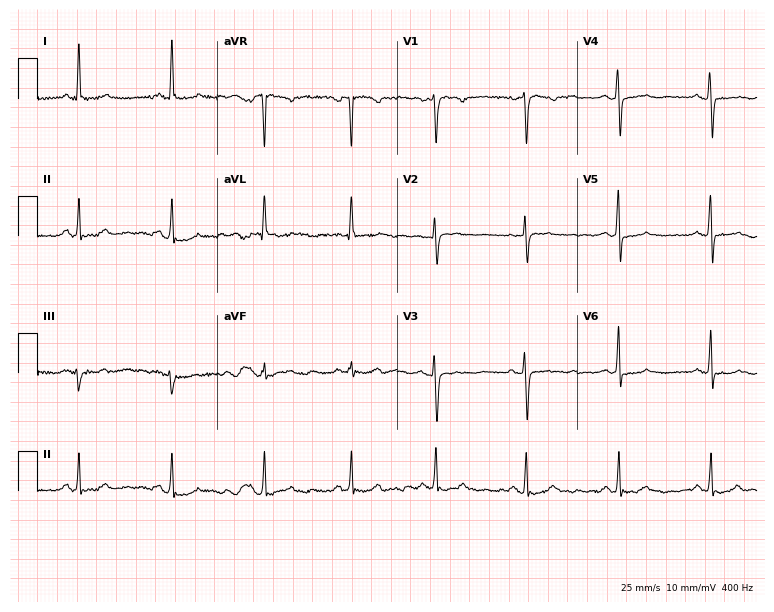
Standard 12-lead ECG recorded from a woman, 50 years old. None of these six findings is recorded: first-degree AV block, right bundle branch block, left bundle branch block, sinus bradycardia, atrial fibrillation, sinus tachycardia. Findings outside these six are not listed.